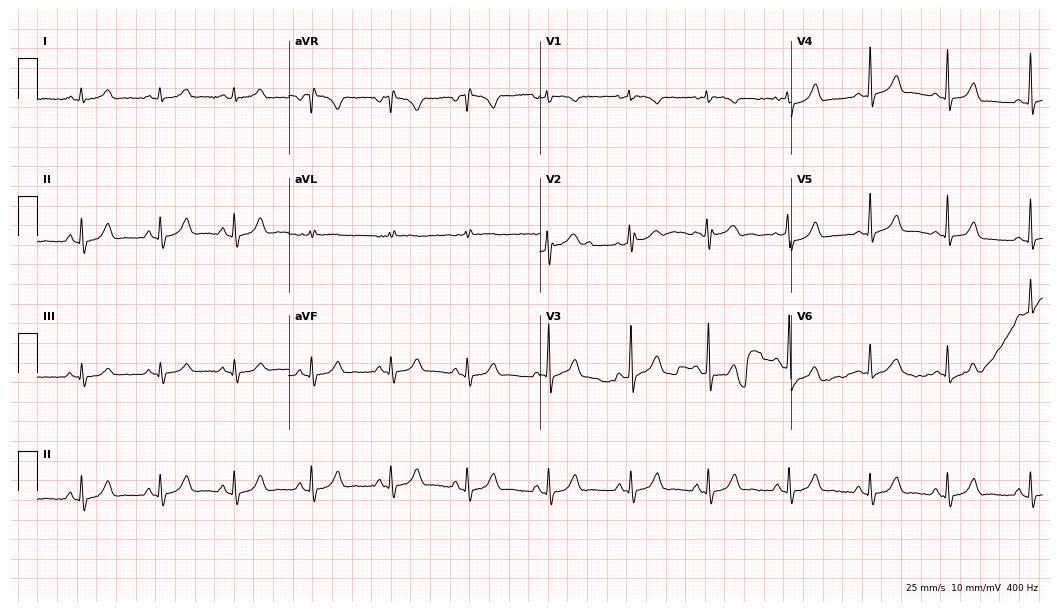
Standard 12-lead ECG recorded from a 35-year-old man (10.2-second recording at 400 Hz). Read as a normal ECG.